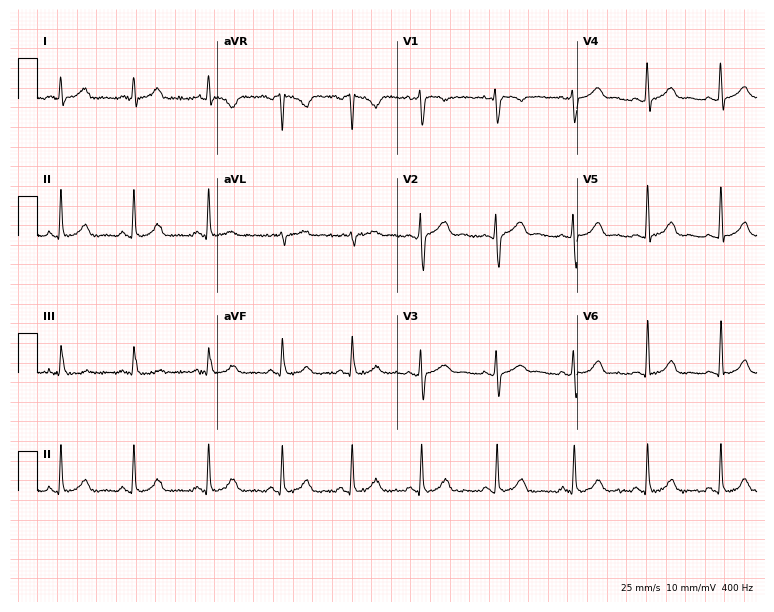
Standard 12-lead ECG recorded from a 31-year-old female patient (7.3-second recording at 400 Hz). Read as a normal ECG.